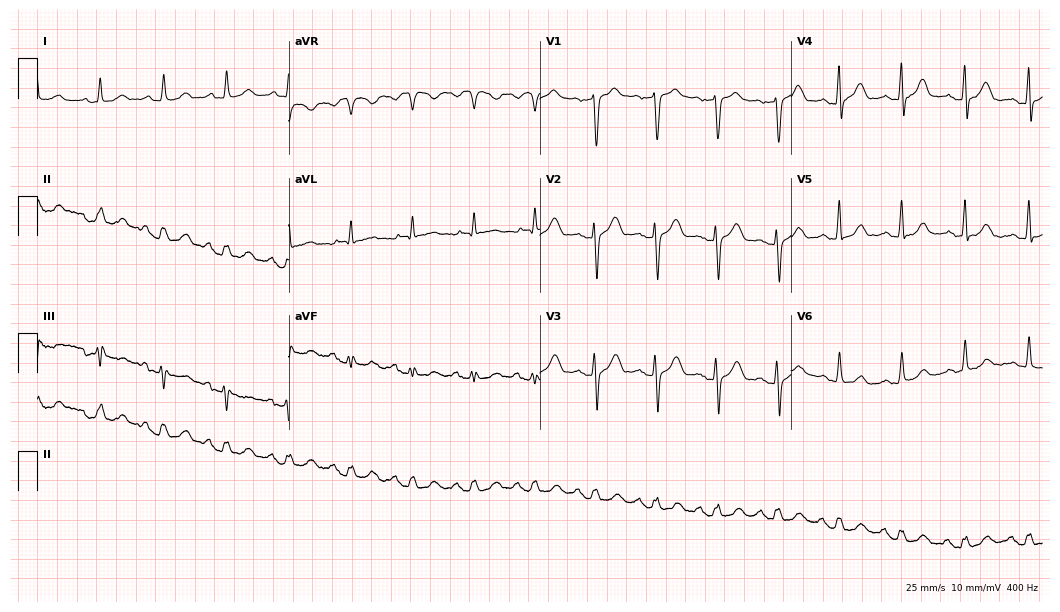
Electrocardiogram (10.2-second recording at 400 Hz), a male patient, 68 years old. Of the six screened findings (first-degree AV block, right bundle branch block (RBBB), left bundle branch block (LBBB), sinus bradycardia, atrial fibrillation (AF), sinus tachycardia), none is recorded. Only these six findings were labelled.